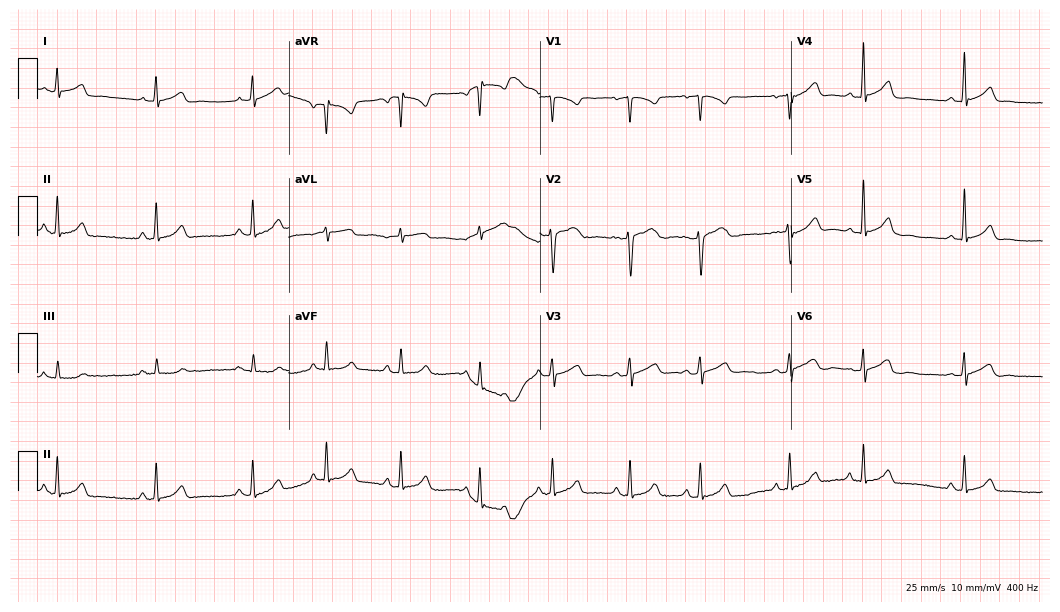
ECG (10.2-second recording at 400 Hz) — a female, 23 years old. Screened for six findings — first-degree AV block, right bundle branch block, left bundle branch block, sinus bradycardia, atrial fibrillation, sinus tachycardia — none is recorded. Only these six findings were labelled.